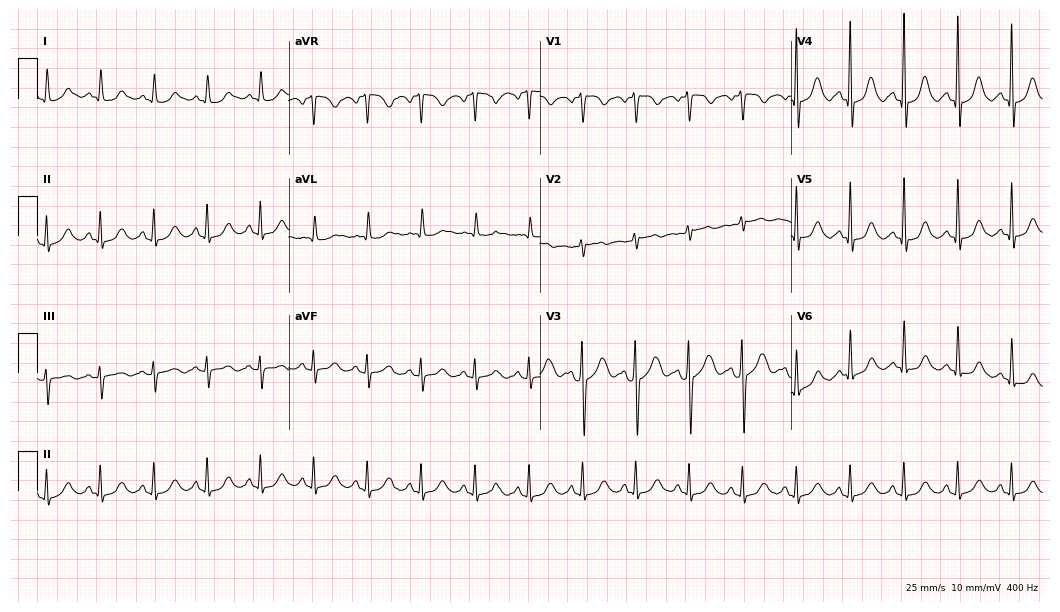
Standard 12-lead ECG recorded from a woman, 69 years old (10.2-second recording at 400 Hz). The tracing shows sinus tachycardia (a sinus rate of 100 beats per minute or more).